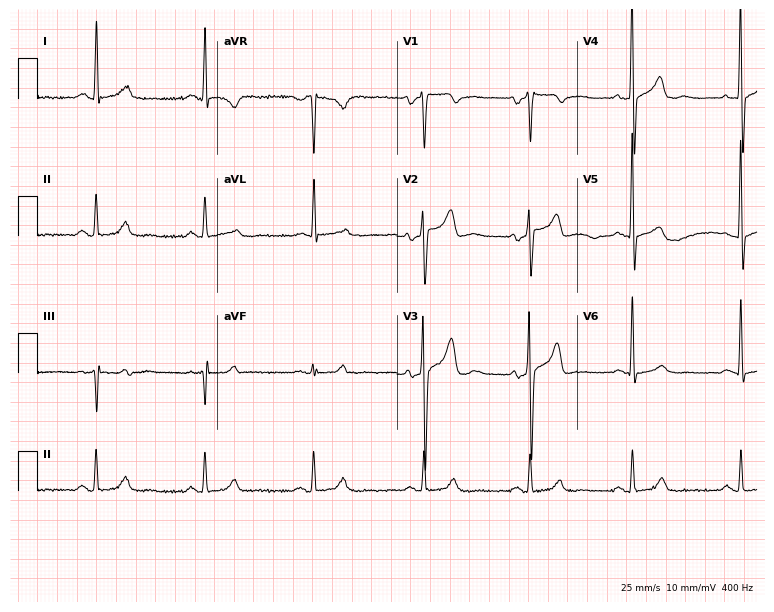
12-lead ECG (7.3-second recording at 400 Hz) from a male patient, 48 years old. Screened for six findings — first-degree AV block, right bundle branch block, left bundle branch block, sinus bradycardia, atrial fibrillation, sinus tachycardia — none is recorded. Findings outside these six are not listed.